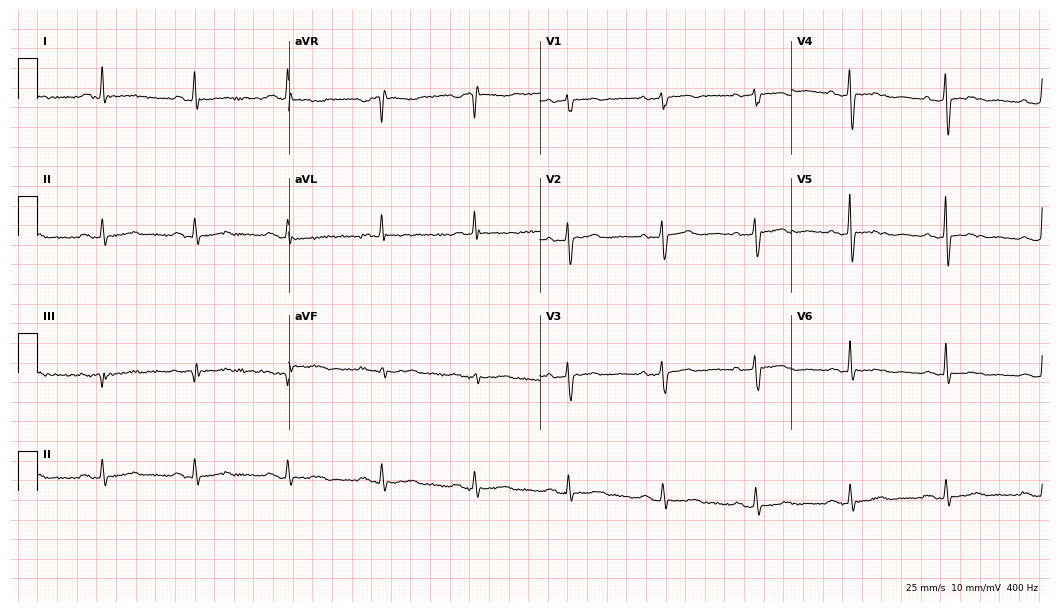
ECG — a 63-year-old female. Labelled as a normal ECG.